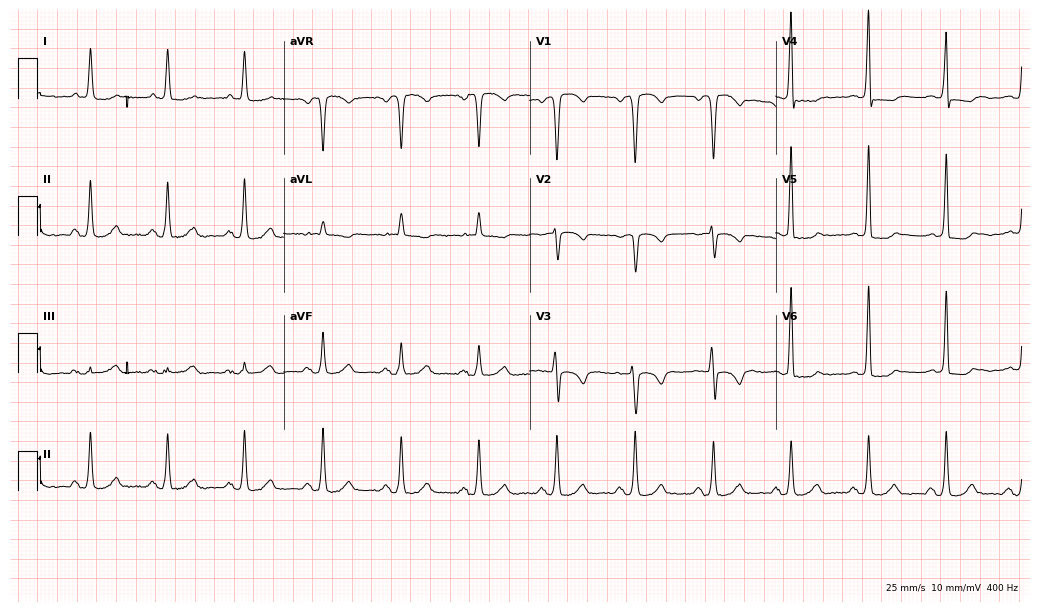
ECG — a male patient, 70 years old. Screened for six findings — first-degree AV block, right bundle branch block (RBBB), left bundle branch block (LBBB), sinus bradycardia, atrial fibrillation (AF), sinus tachycardia — none is recorded. Findings outside these six are not listed.